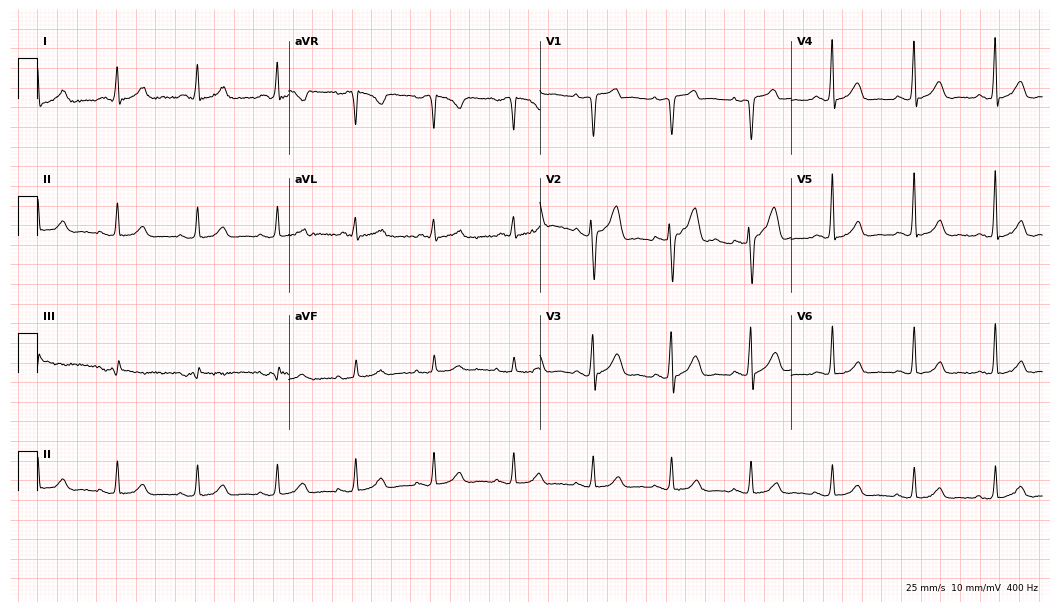
12-lead ECG from a male patient, 65 years old (10.2-second recording at 400 Hz). Recorded interpretation: within normal limits.